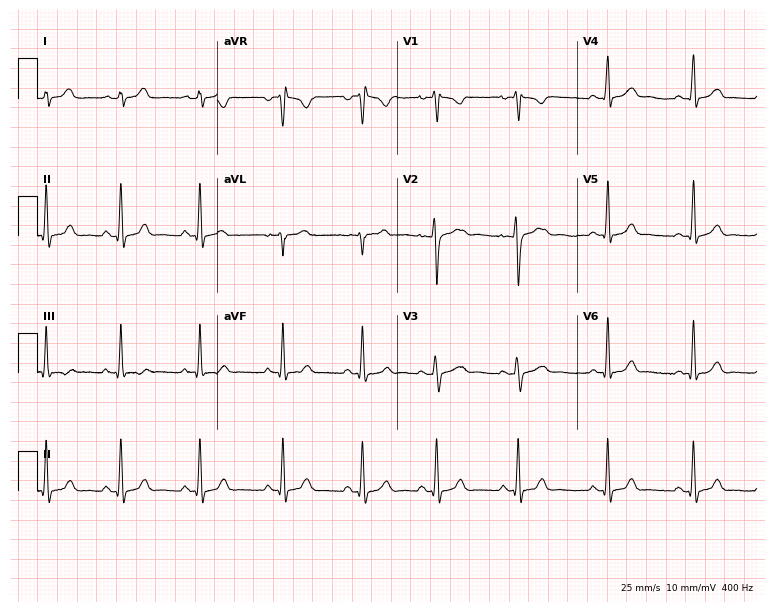
12-lead ECG from a female, 19 years old (7.3-second recording at 400 Hz). Recorded interpretation: within normal limits.